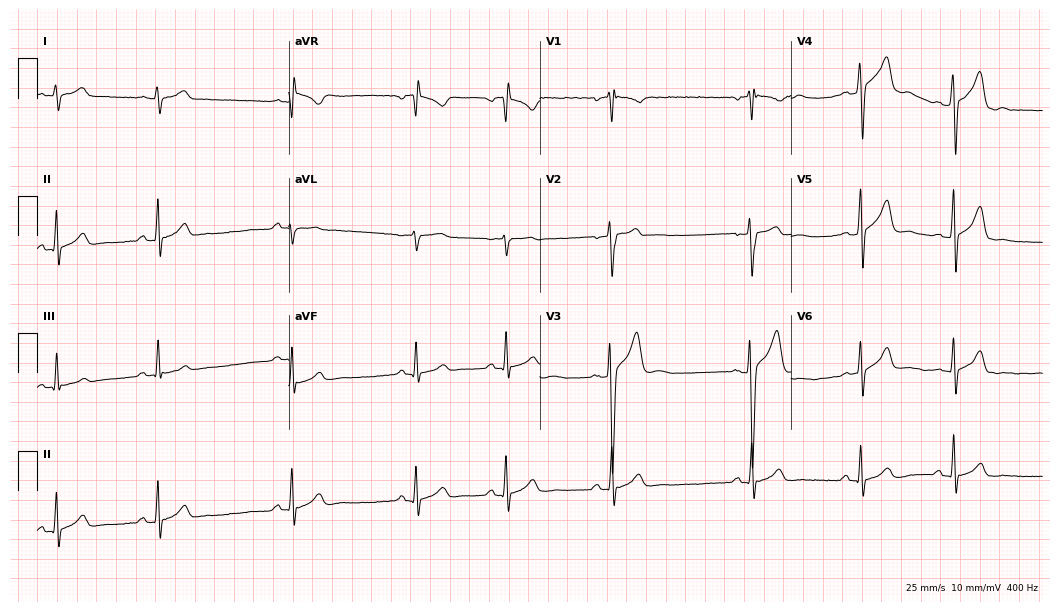
12-lead ECG (10.2-second recording at 400 Hz) from a 17-year-old male. Screened for six findings — first-degree AV block, right bundle branch block, left bundle branch block, sinus bradycardia, atrial fibrillation, sinus tachycardia — none is recorded. Only these six findings were labelled.